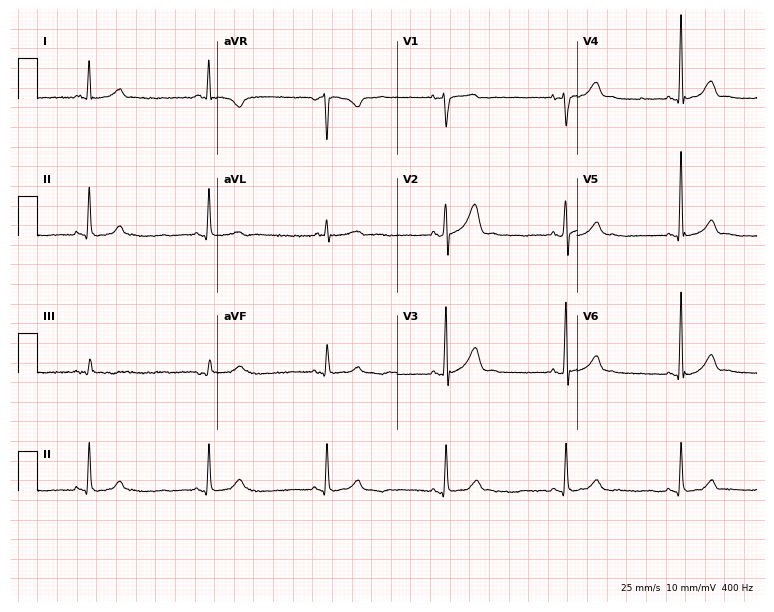
Resting 12-lead electrocardiogram. Patient: a man, 46 years old. The tracing shows sinus bradycardia (a sinus rate of 50 beats per minute or less).